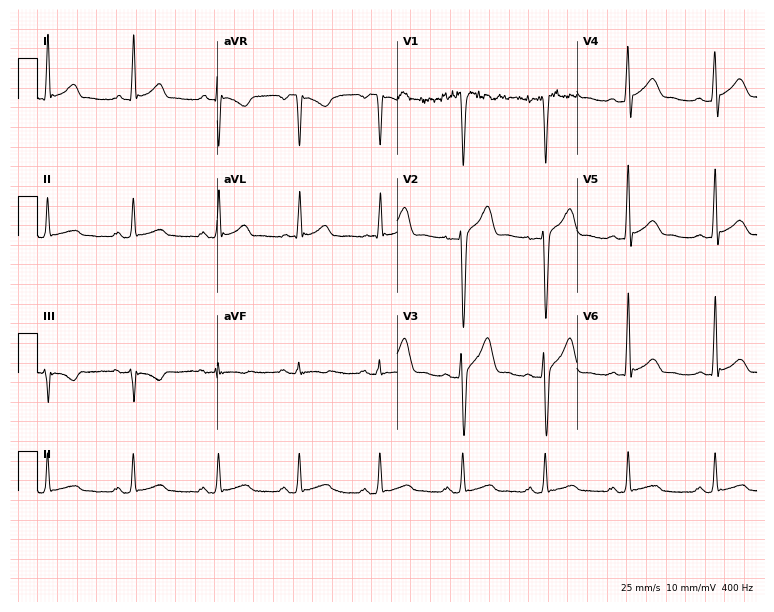
12-lead ECG from a 29-year-old man. Screened for six findings — first-degree AV block, right bundle branch block (RBBB), left bundle branch block (LBBB), sinus bradycardia, atrial fibrillation (AF), sinus tachycardia — none is recorded.